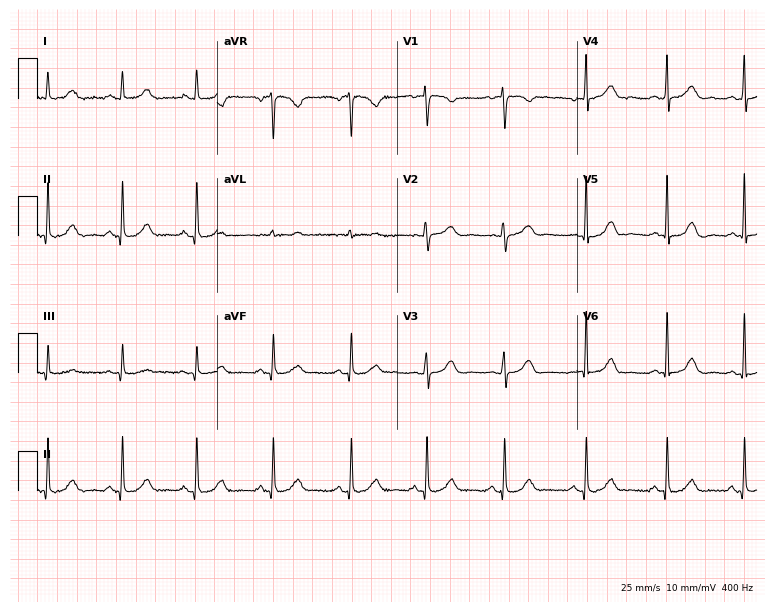
Electrocardiogram, a 44-year-old female. Of the six screened findings (first-degree AV block, right bundle branch block (RBBB), left bundle branch block (LBBB), sinus bradycardia, atrial fibrillation (AF), sinus tachycardia), none is recorded.